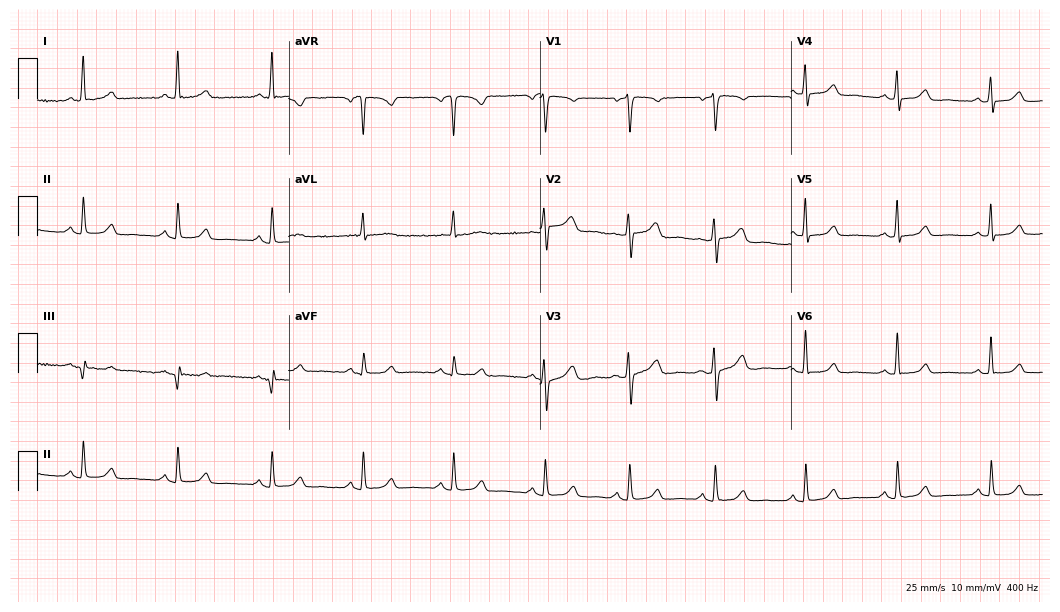
12-lead ECG from a 53-year-old female patient. No first-degree AV block, right bundle branch block (RBBB), left bundle branch block (LBBB), sinus bradycardia, atrial fibrillation (AF) or sinus tachycardia recorded for this tracing.